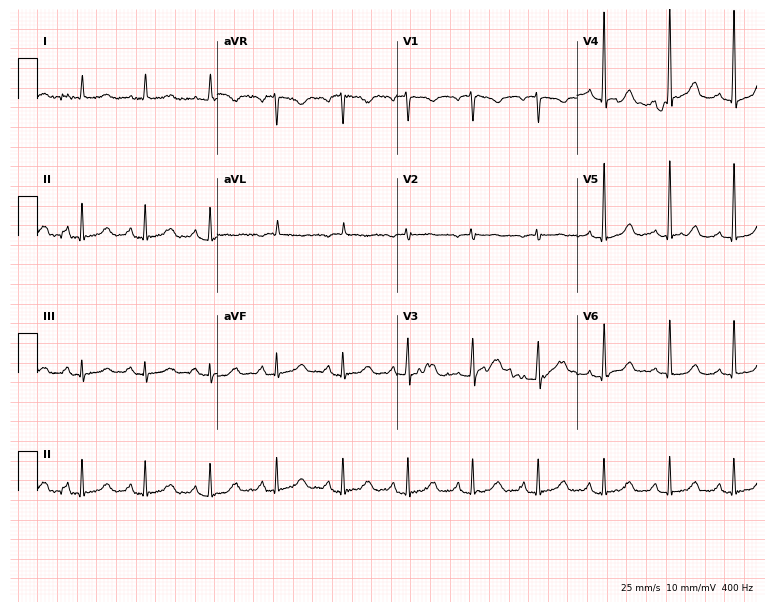
12-lead ECG (7.3-second recording at 400 Hz) from a female, 73 years old. Screened for six findings — first-degree AV block, right bundle branch block, left bundle branch block, sinus bradycardia, atrial fibrillation, sinus tachycardia — none is recorded. Findings outside these six are not listed.